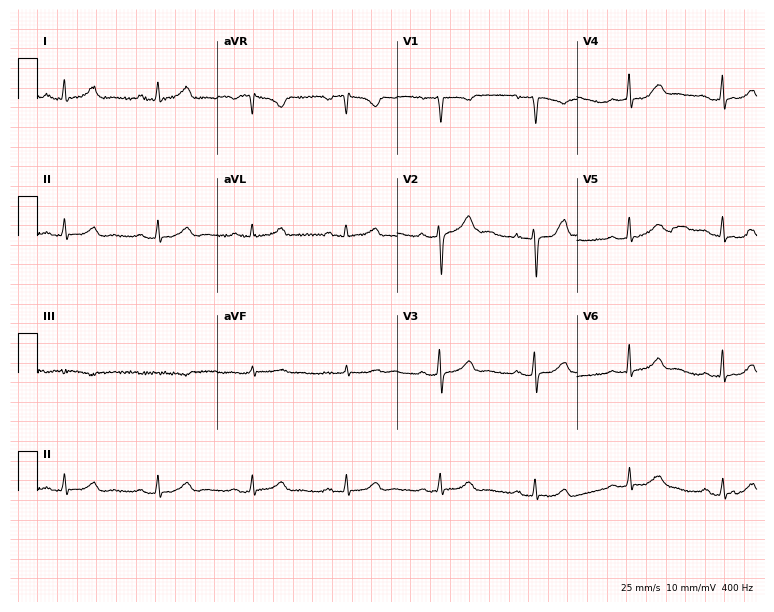
ECG (7.3-second recording at 400 Hz) — a female patient, 53 years old. Labelled as a normal ECG.